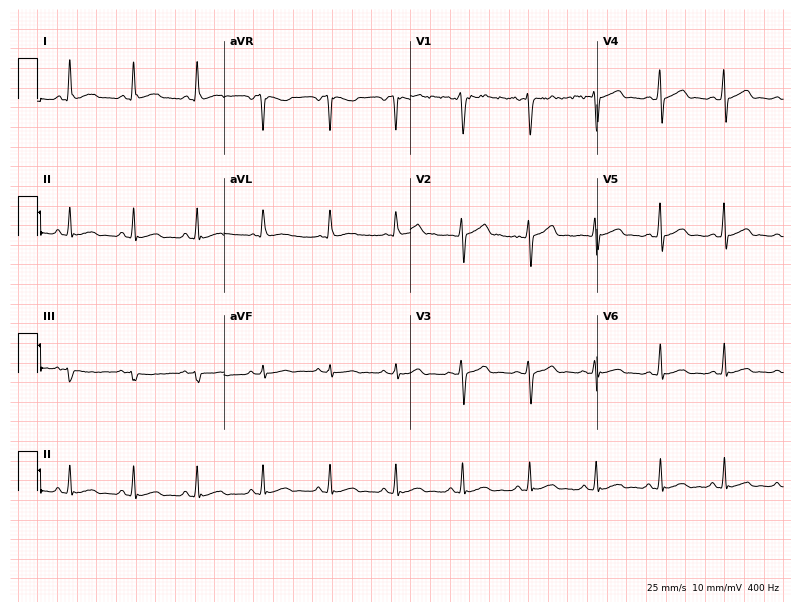
Electrocardiogram (7.6-second recording at 400 Hz), a male patient, 37 years old. Overall reading on record: normal ECG.